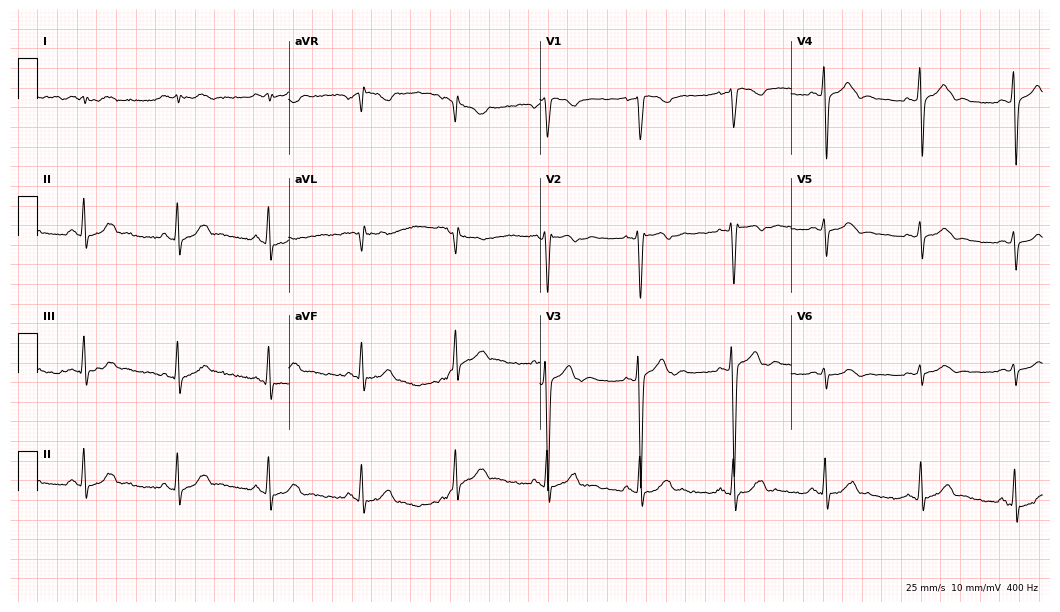
Resting 12-lead electrocardiogram. Patient: a man, 43 years old. None of these six findings is recorded: first-degree AV block, right bundle branch block (RBBB), left bundle branch block (LBBB), sinus bradycardia, atrial fibrillation (AF), sinus tachycardia.